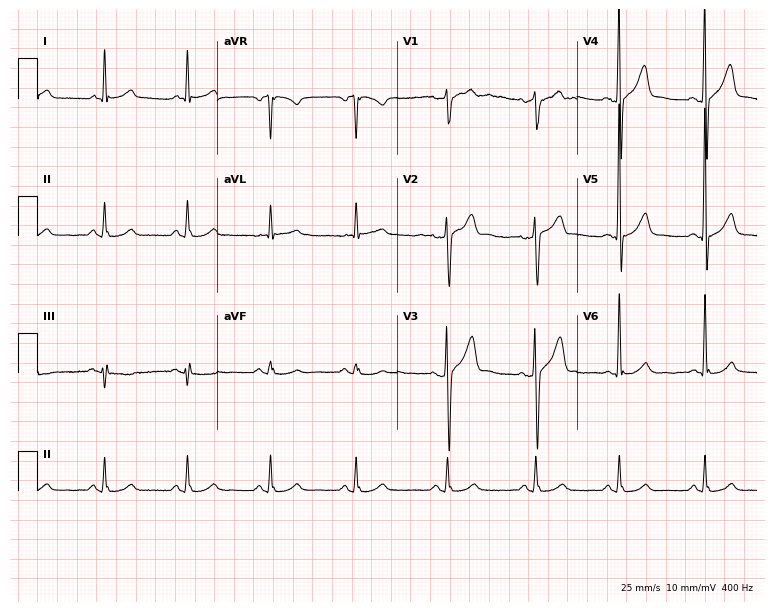
12-lead ECG from a 57-year-old male. Labelled as a normal ECG.